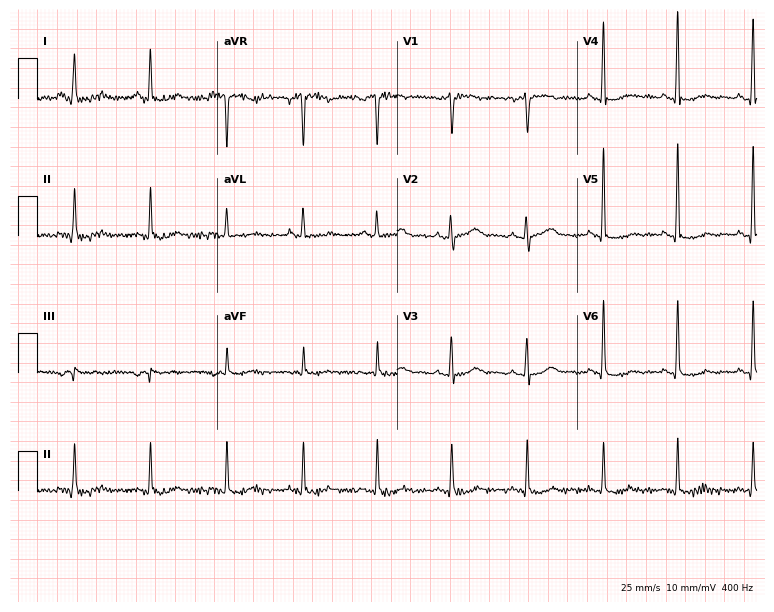
Standard 12-lead ECG recorded from a 51-year-old female patient (7.3-second recording at 400 Hz). None of these six findings is recorded: first-degree AV block, right bundle branch block, left bundle branch block, sinus bradycardia, atrial fibrillation, sinus tachycardia.